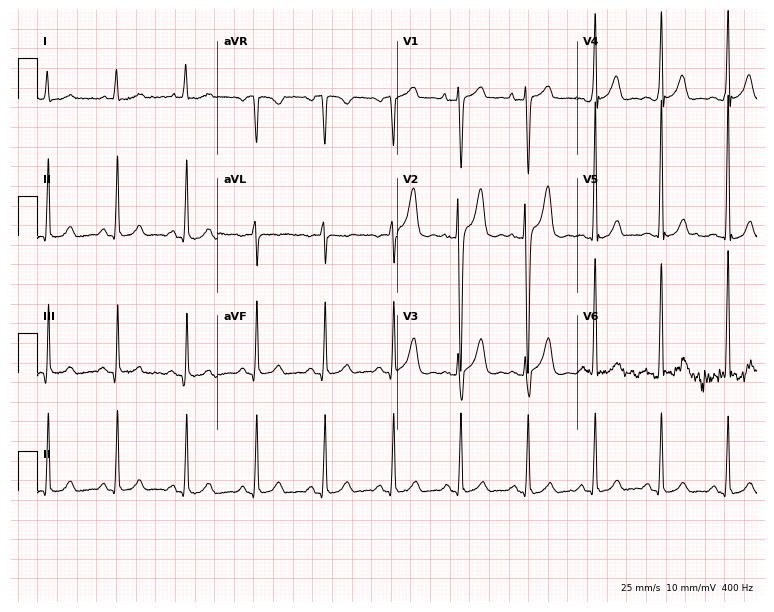
12-lead ECG (7.3-second recording at 400 Hz) from a 24-year-old male patient. Labelled as a normal ECG.